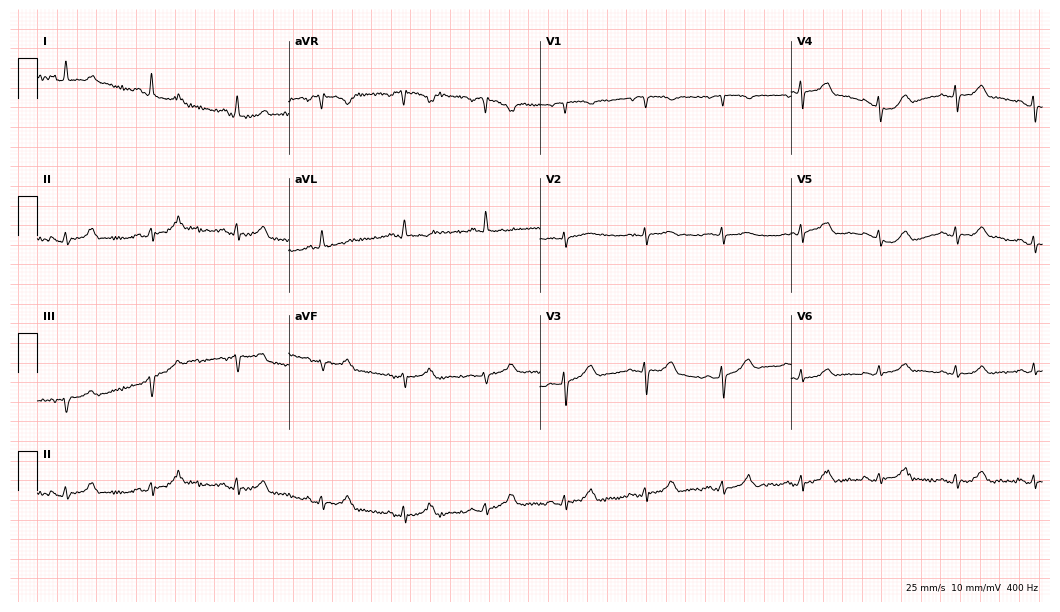
12-lead ECG from a female patient, 81 years old (10.2-second recording at 400 Hz). No first-degree AV block, right bundle branch block (RBBB), left bundle branch block (LBBB), sinus bradycardia, atrial fibrillation (AF) or sinus tachycardia recorded for this tracing. Other findings, if any, are not listed.